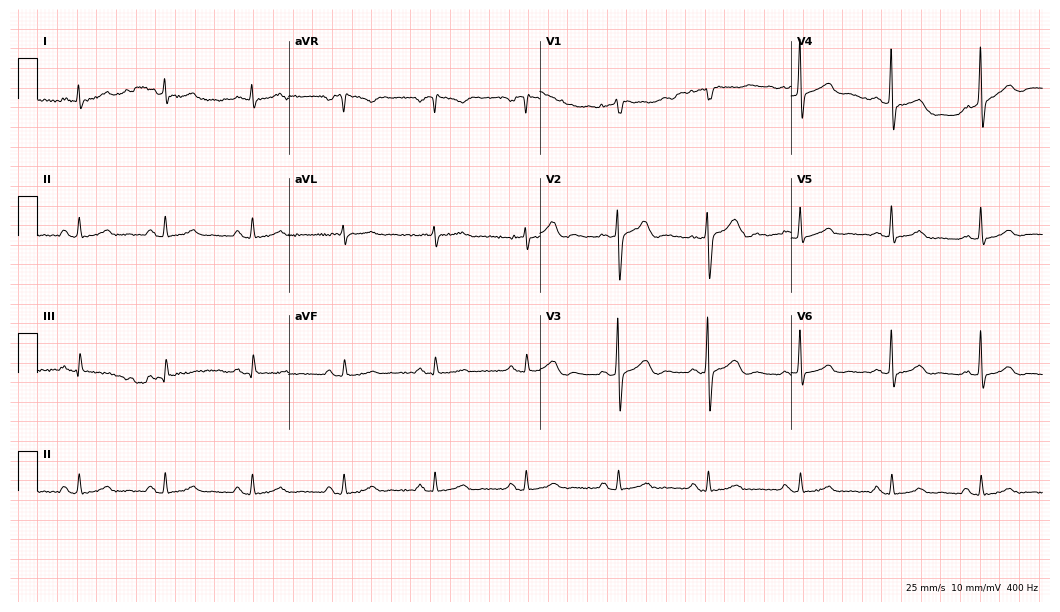
Resting 12-lead electrocardiogram (10.2-second recording at 400 Hz). Patient: a 63-year-old man. Read as a normal ECG.